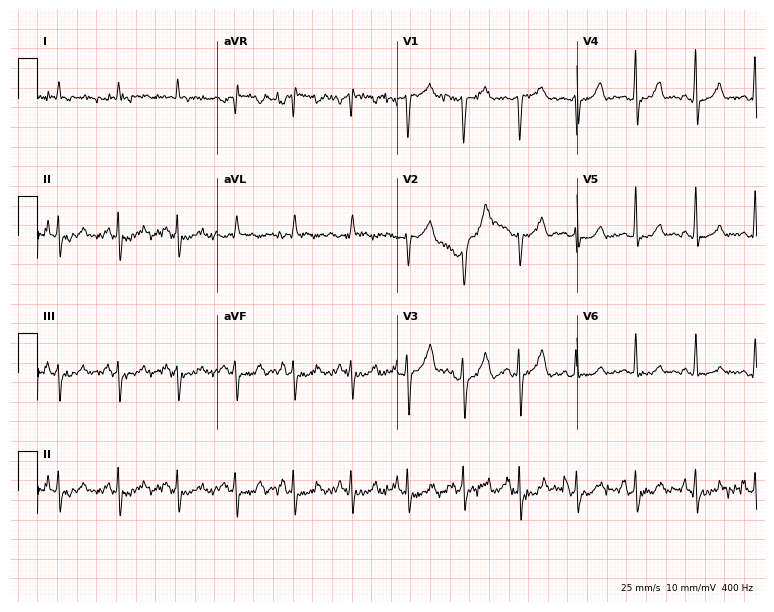
Standard 12-lead ECG recorded from a 50-year-old man (7.3-second recording at 400 Hz). The tracing shows sinus tachycardia (a sinus rate of 100 beats per minute or more).